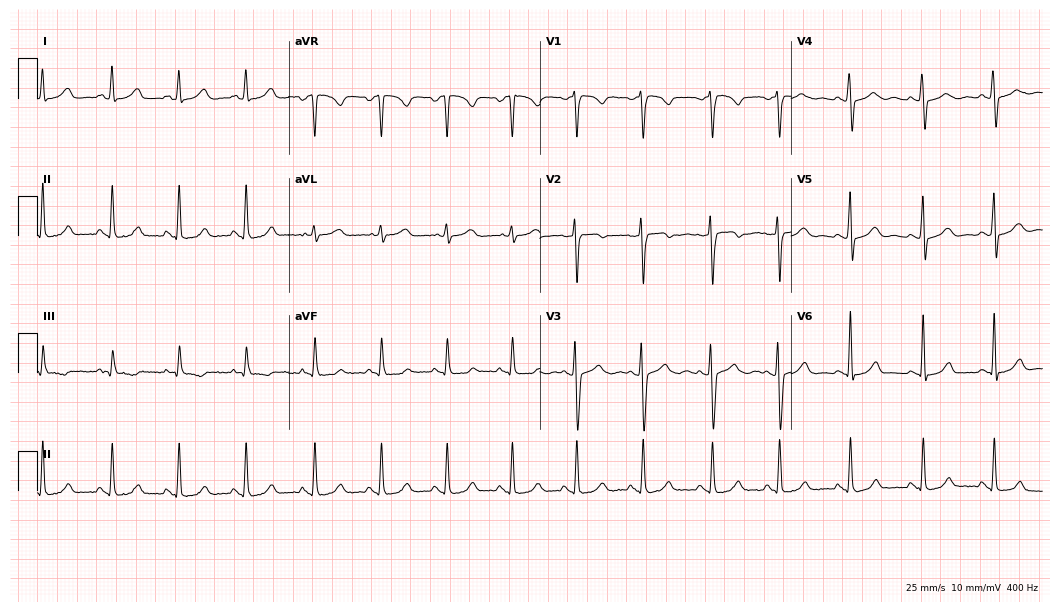
Standard 12-lead ECG recorded from a 24-year-old woman. Read as a normal ECG.